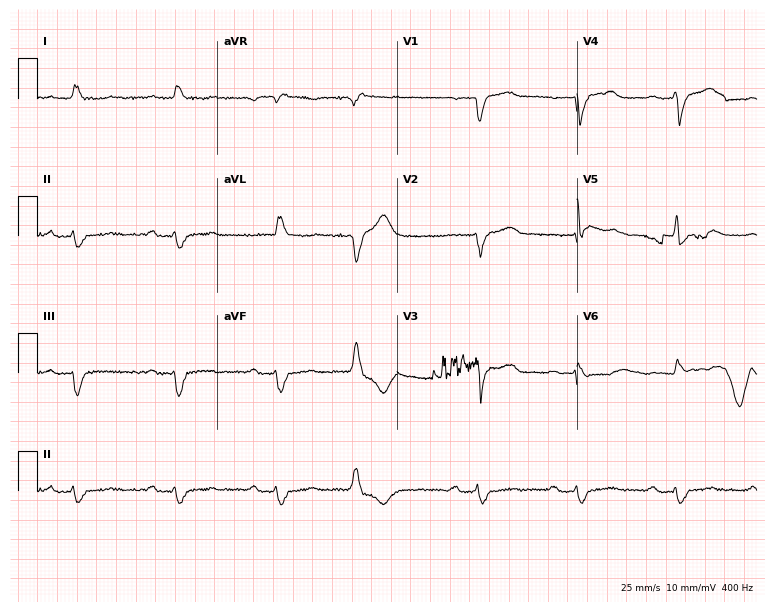
Standard 12-lead ECG recorded from a man, 79 years old (7.3-second recording at 400 Hz). None of these six findings is recorded: first-degree AV block, right bundle branch block, left bundle branch block, sinus bradycardia, atrial fibrillation, sinus tachycardia.